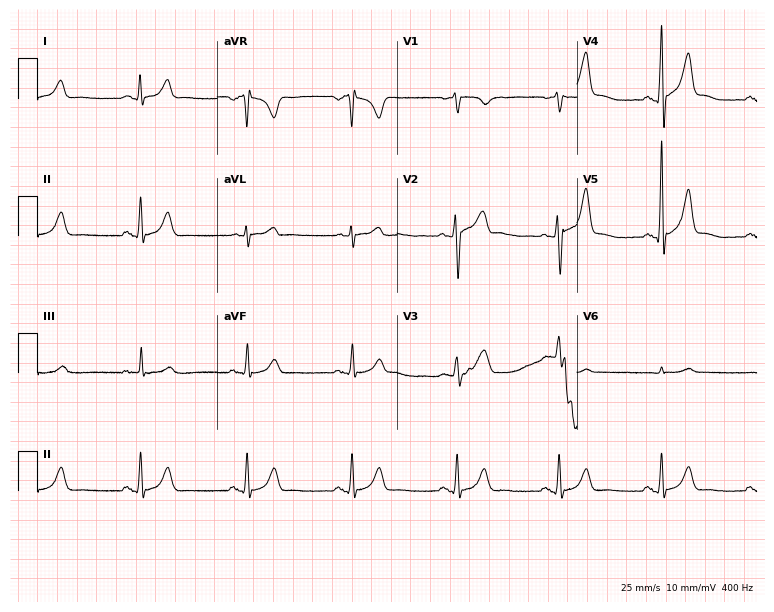
Electrocardiogram (7.3-second recording at 400 Hz), a 36-year-old female. Overall reading on record: normal ECG.